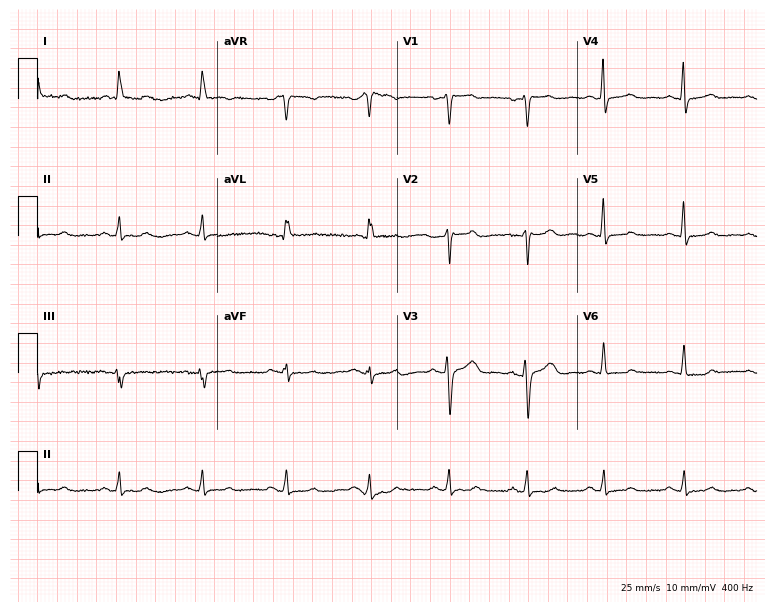
12-lead ECG (7.3-second recording at 400 Hz) from a 52-year-old woman. Screened for six findings — first-degree AV block, right bundle branch block, left bundle branch block, sinus bradycardia, atrial fibrillation, sinus tachycardia — none is recorded. Only these six findings were labelled.